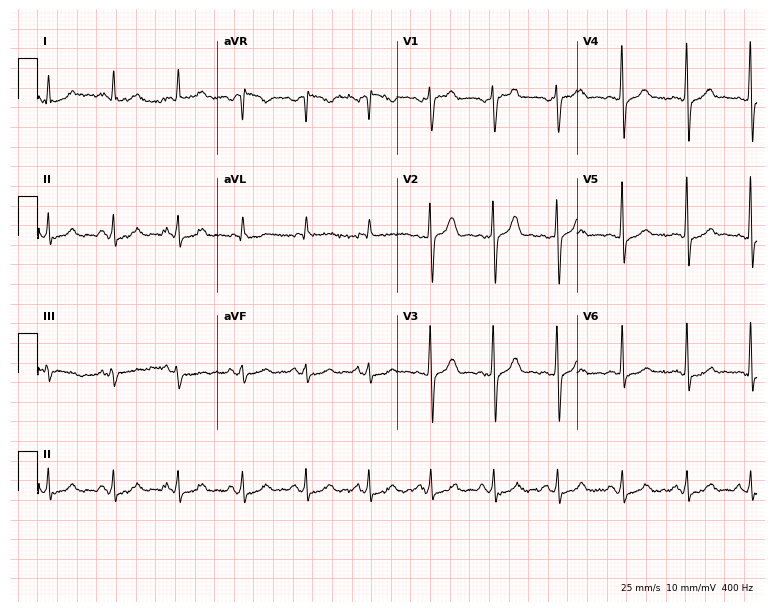
12-lead ECG from a male patient, 44 years old. Labelled as a normal ECG.